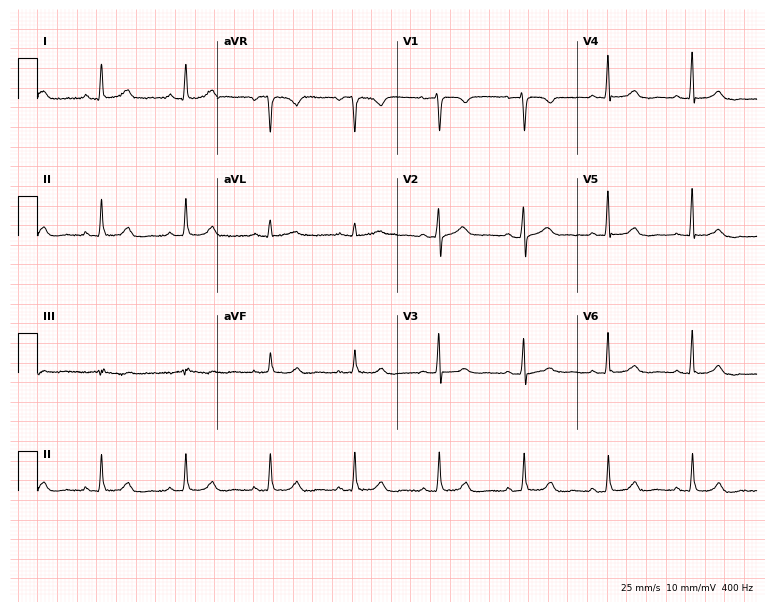
12-lead ECG from a 54-year-old woman. Labelled as a normal ECG.